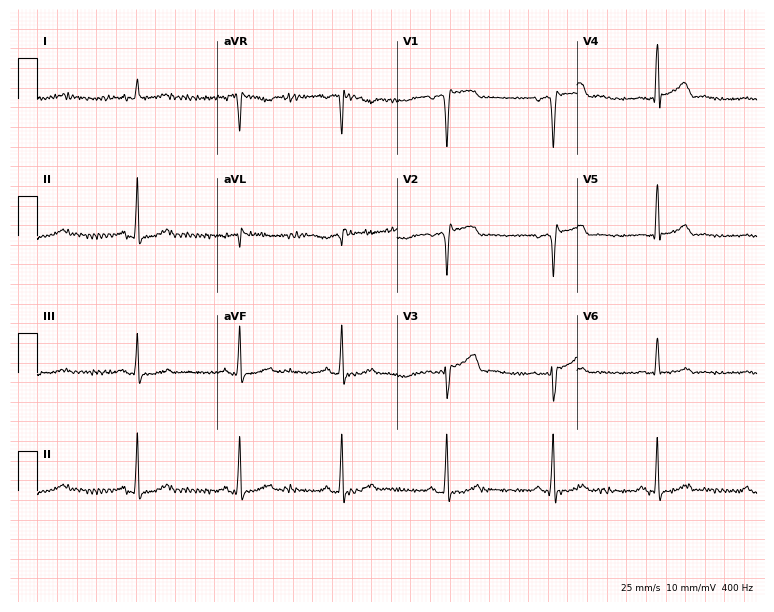
Resting 12-lead electrocardiogram. Patient: a male, 60 years old. None of these six findings is recorded: first-degree AV block, right bundle branch block, left bundle branch block, sinus bradycardia, atrial fibrillation, sinus tachycardia.